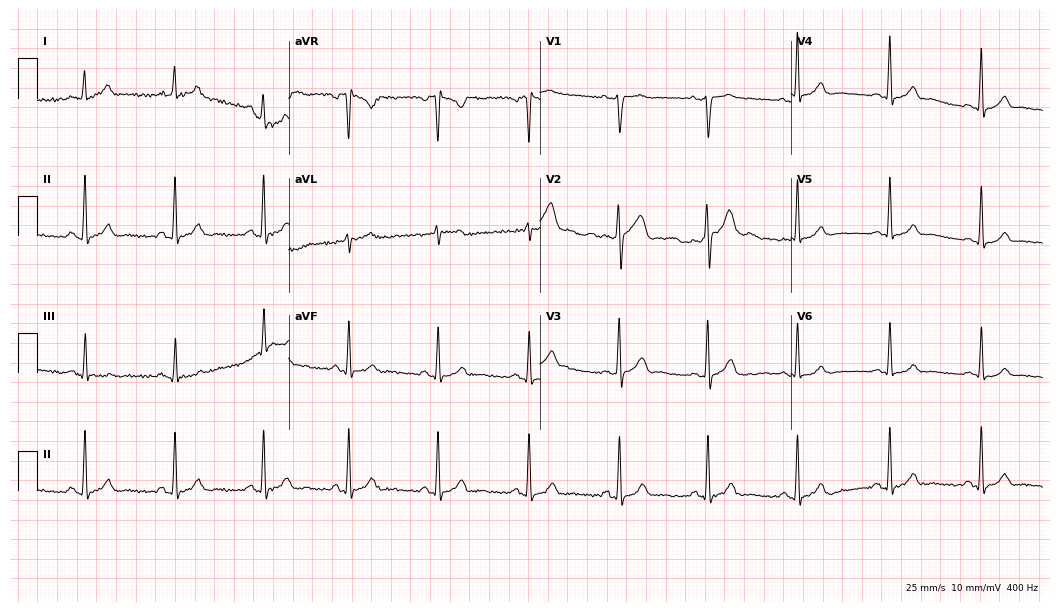
Electrocardiogram (10.2-second recording at 400 Hz), a male, 43 years old. Overall reading on record: normal ECG.